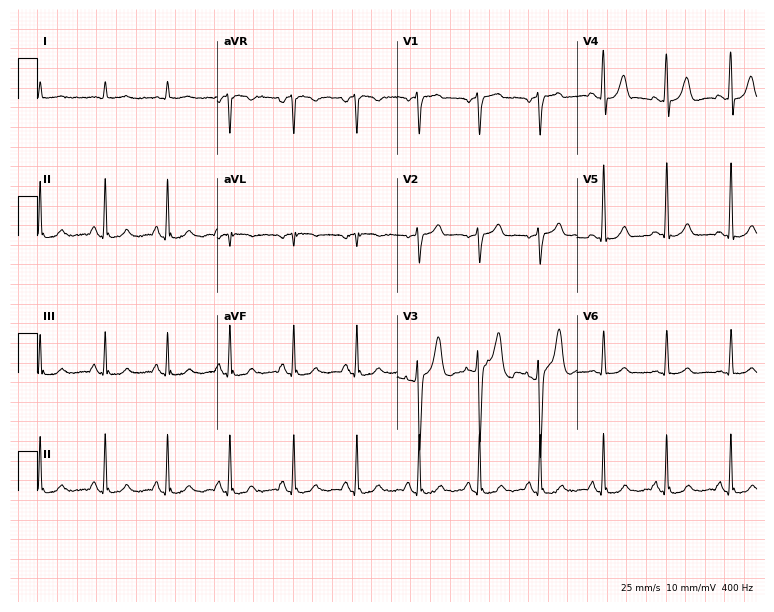
ECG (7.3-second recording at 400 Hz) — a male, 73 years old. Screened for six findings — first-degree AV block, right bundle branch block, left bundle branch block, sinus bradycardia, atrial fibrillation, sinus tachycardia — none is recorded.